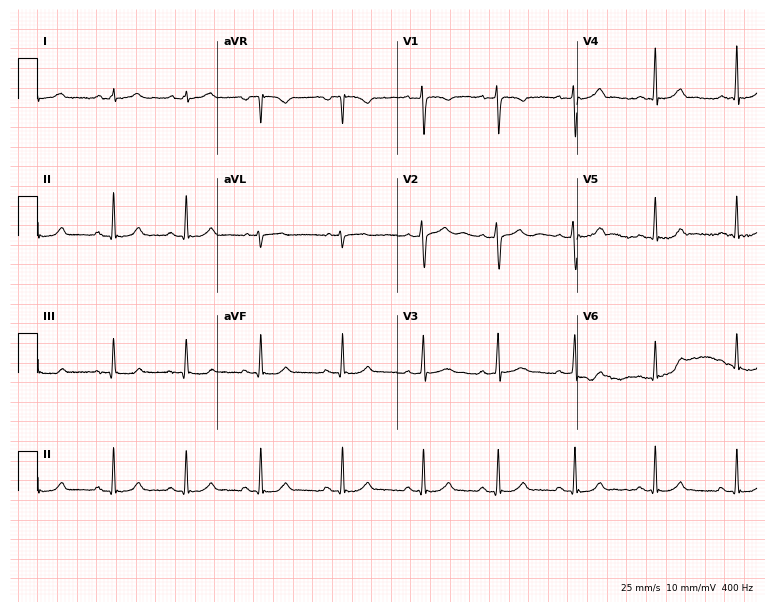
ECG (7.3-second recording at 400 Hz) — a male, 23 years old. Labelled as a normal ECG.